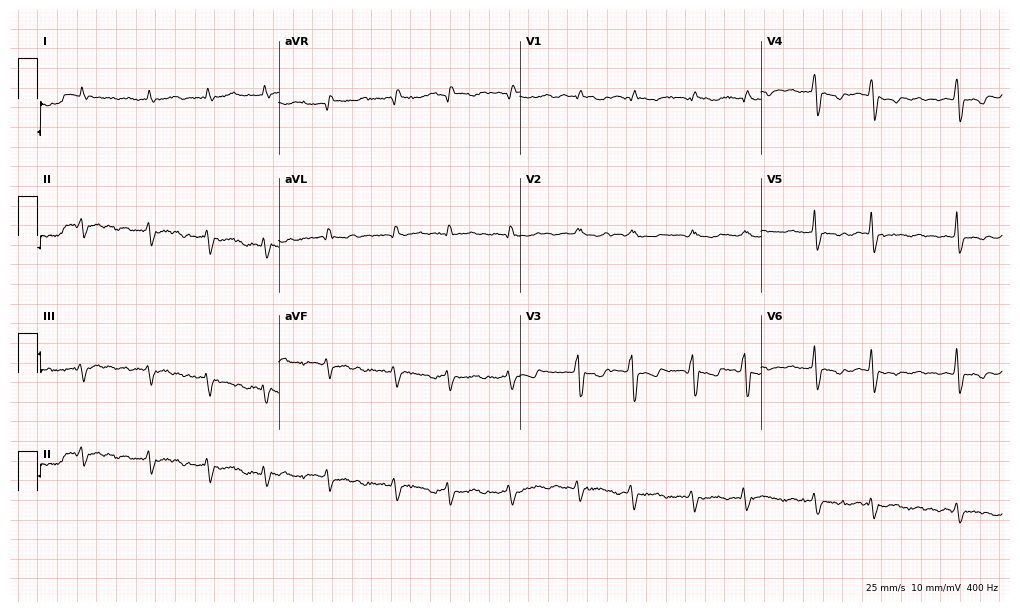
Resting 12-lead electrocardiogram. Patient: a male, 60 years old. The tracing shows atrial fibrillation.